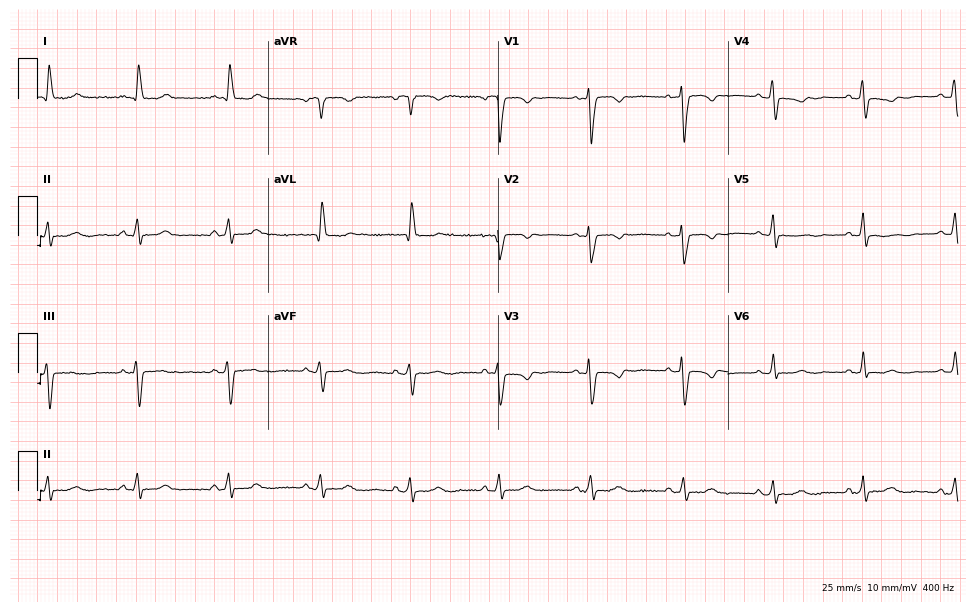
Resting 12-lead electrocardiogram (9.4-second recording at 400 Hz). Patient: a 60-year-old female. None of these six findings is recorded: first-degree AV block, right bundle branch block, left bundle branch block, sinus bradycardia, atrial fibrillation, sinus tachycardia. Other findings, if any, are not listed.